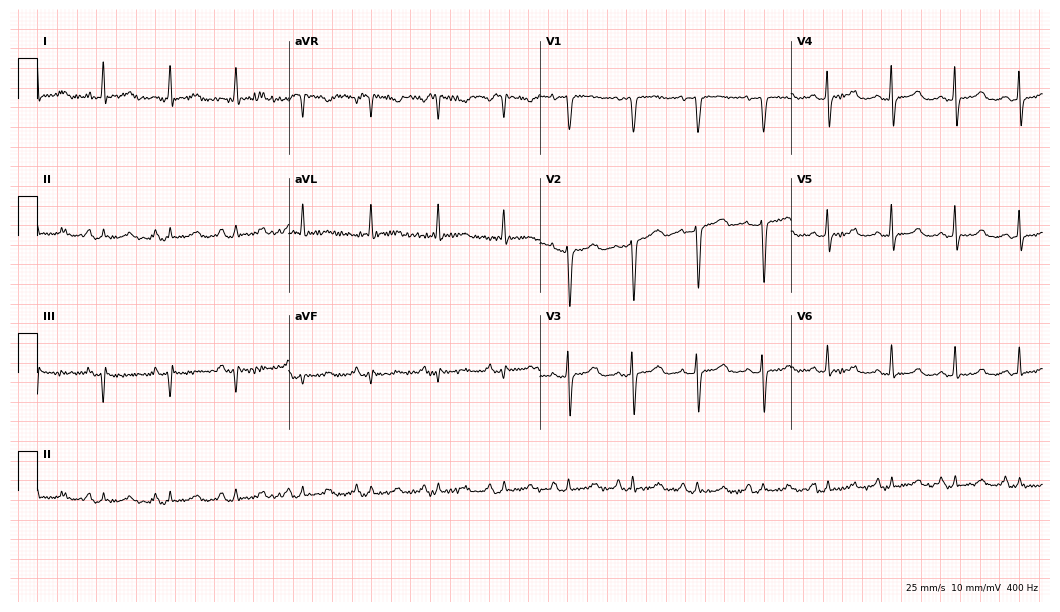
ECG — a 60-year-old female. Screened for six findings — first-degree AV block, right bundle branch block (RBBB), left bundle branch block (LBBB), sinus bradycardia, atrial fibrillation (AF), sinus tachycardia — none is recorded. Other findings, if any, are not listed.